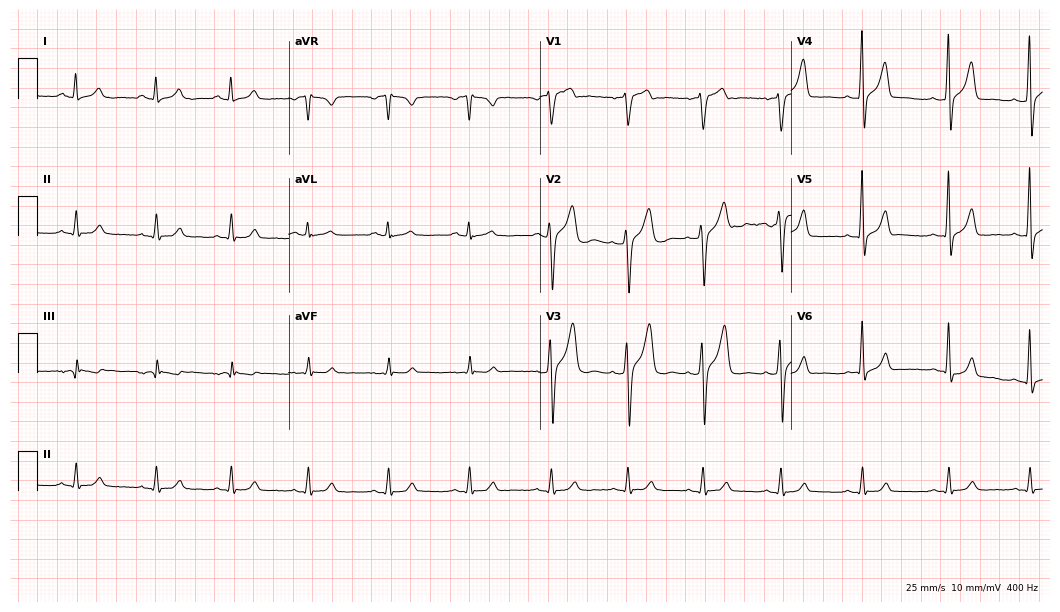
Electrocardiogram (10.2-second recording at 400 Hz), a man, 31 years old. Of the six screened findings (first-degree AV block, right bundle branch block, left bundle branch block, sinus bradycardia, atrial fibrillation, sinus tachycardia), none is recorded.